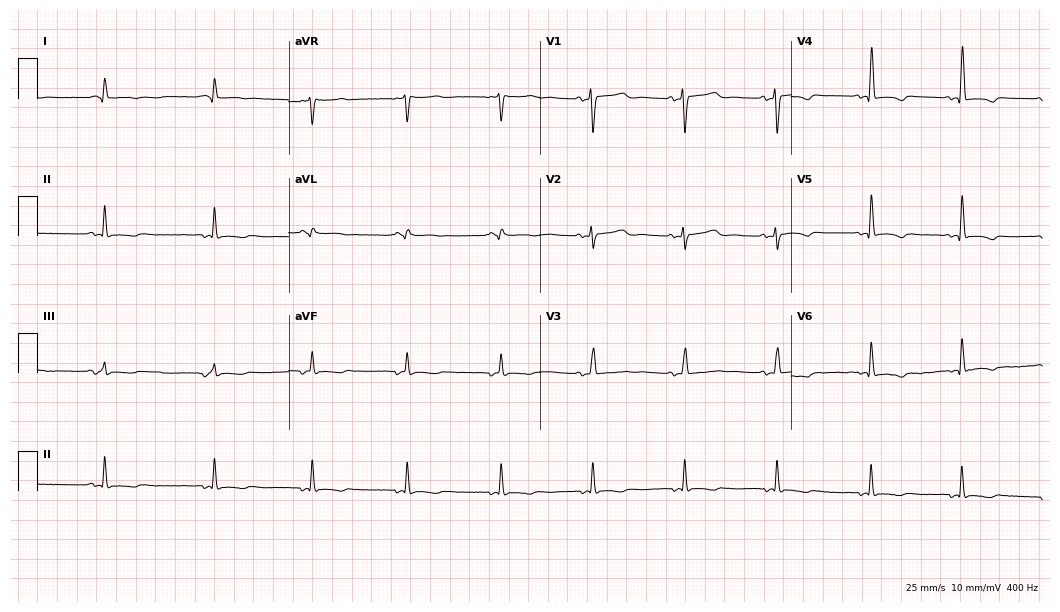
Resting 12-lead electrocardiogram. Patient: a 64-year-old female. None of these six findings is recorded: first-degree AV block, right bundle branch block, left bundle branch block, sinus bradycardia, atrial fibrillation, sinus tachycardia.